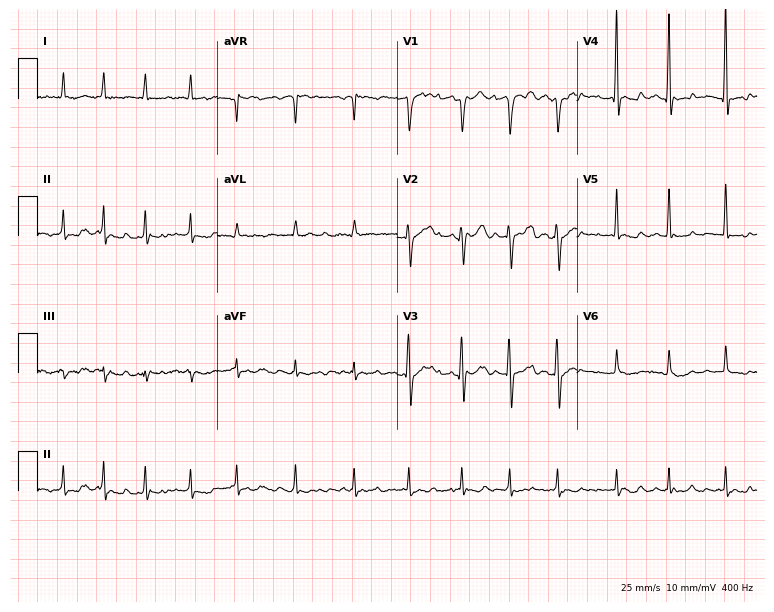
ECG (7.3-second recording at 400 Hz) — a 72-year-old male. Findings include atrial fibrillation (AF).